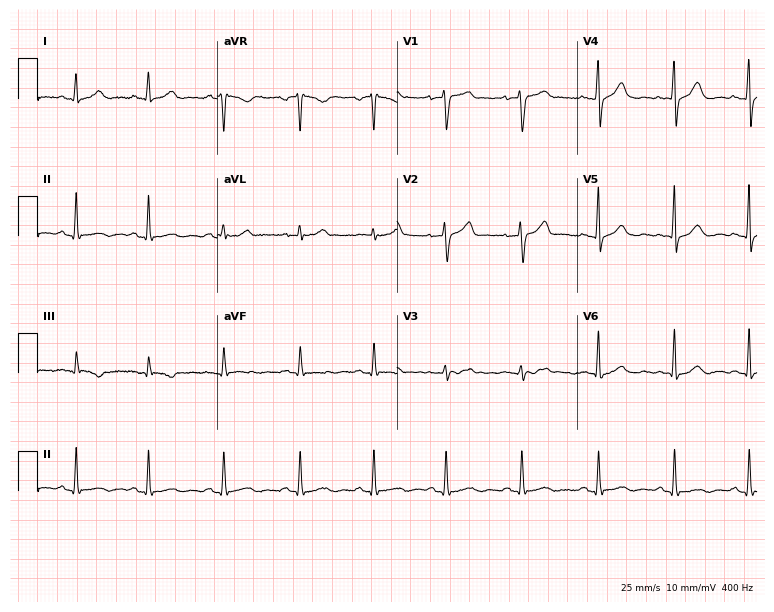
Electrocardiogram (7.3-second recording at 400 Hz), a female patient, 41 years old. Of the six screened findings (first-degree AV block, right bundle branch block, left bundle branch block, sinus bradycardia, atrial fibrillation, sinus tachycardia), none is recorded.